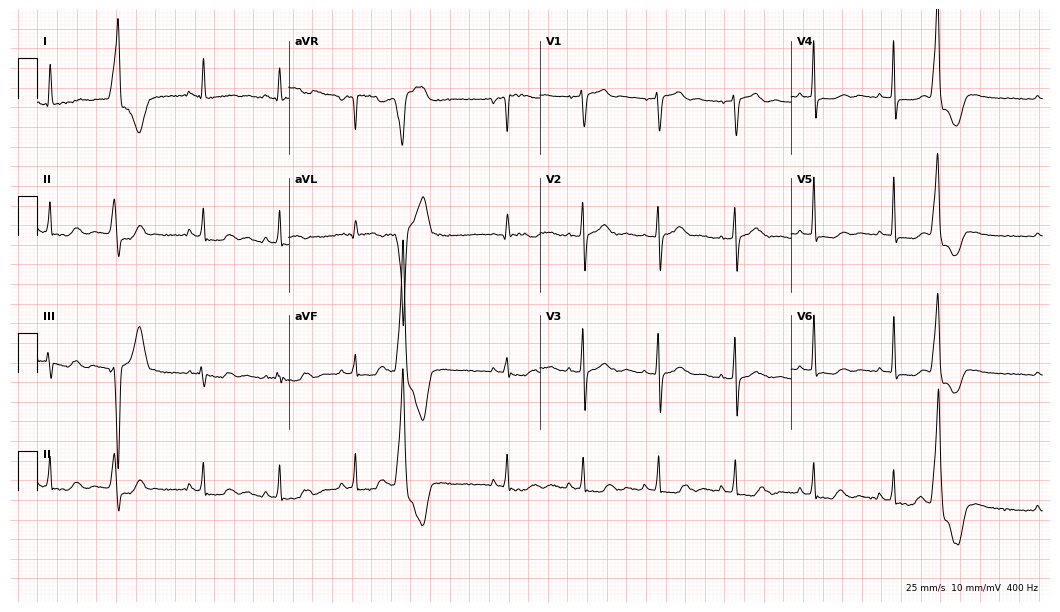
Resting 12-lead electrocardiogram. Patient: a 72-year-old female. None of these six findings is recorded: first-degree AV block, right bundle branch block, left bundle branch block, sinus bradycardia, atrial fibrillation, sinus tachycardia.